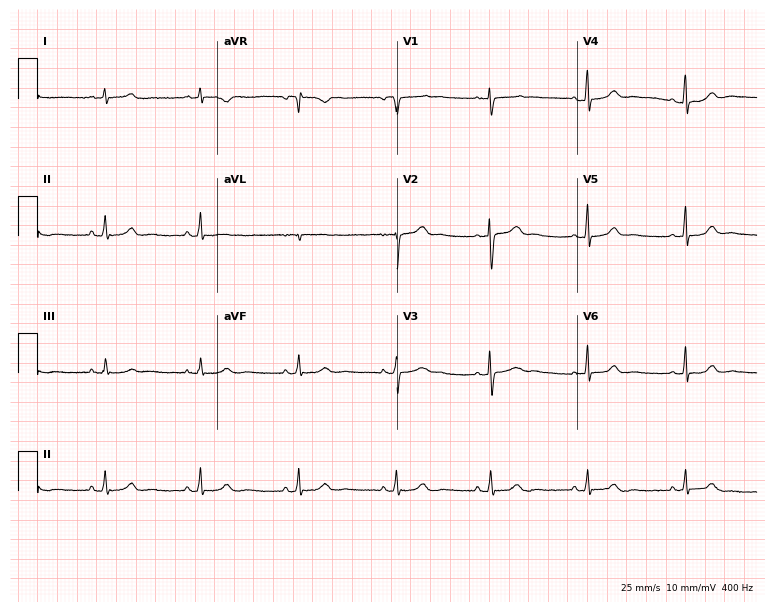
Standard 12-lead ECG recorded from a female patient, 17 years old. None of these six findings is recorded: first-degree AV block, right bundle branch block (RBBB), left bundle branch block (LBBB), sinus bradycardia, atrial fibrillation (AF), sinus tachycardia. Other findings, if any, are not listed.